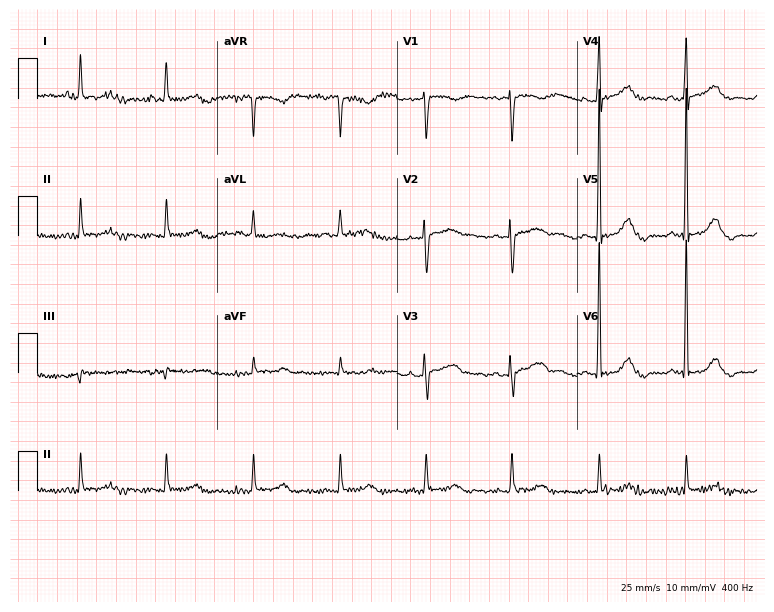
Resting 12-lead electrocardiogram (7.3-second recording at 400 Hz). Patient: a female, 64 years old. None of these six findings is recorded: first-degree AV block, right bundle branch block (RBBB), left bundle branch block (LBBB), sinus bradycardia, atrial fibrillation (AF), sinus tachycardia. Other findings, if any, are not listed.